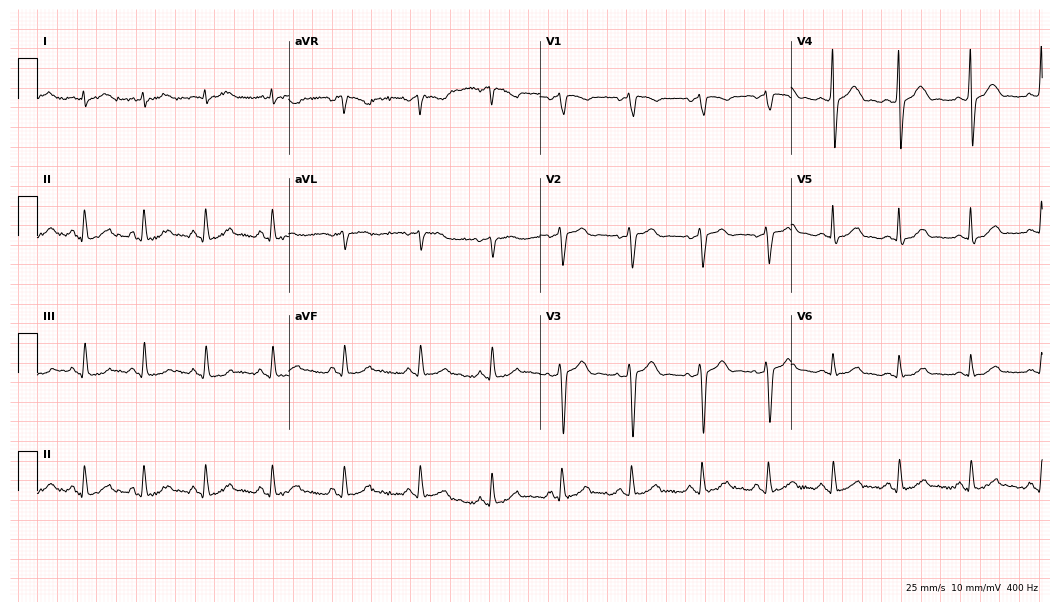
ECG (10.2-second recording at 400 Hz) — a female, 33 years old. Labelled as a normal ECG.